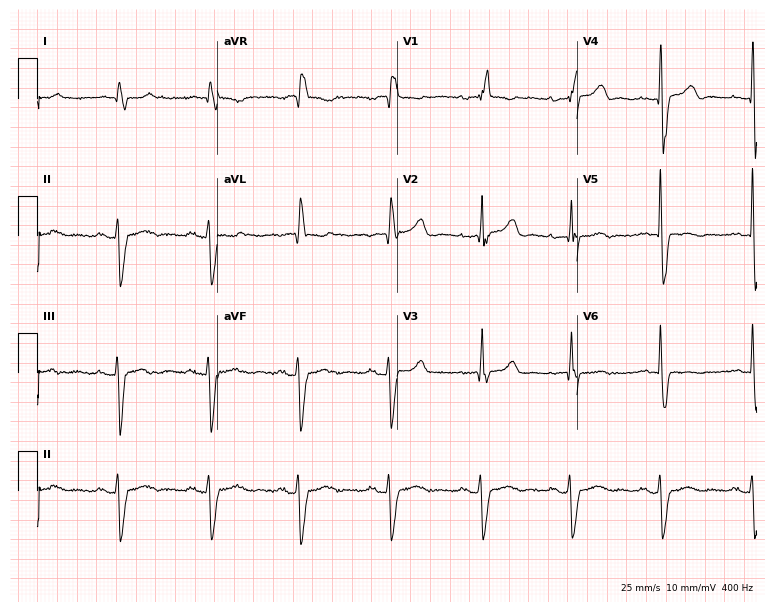
Electrocardiogram (7.3-second recording at 400 Hz), a man, 85 years old. Interpretation includes first-degree AV block, right bundle branch block (RBBB).